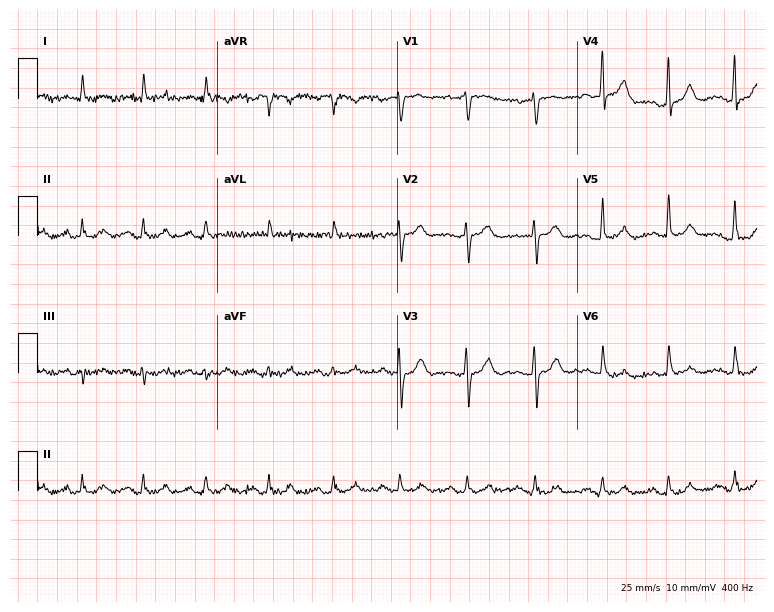
12-lead ECG (7.3-second recording at 400 Hz) from a man, 78 years old. Labelled as a normal ECG.